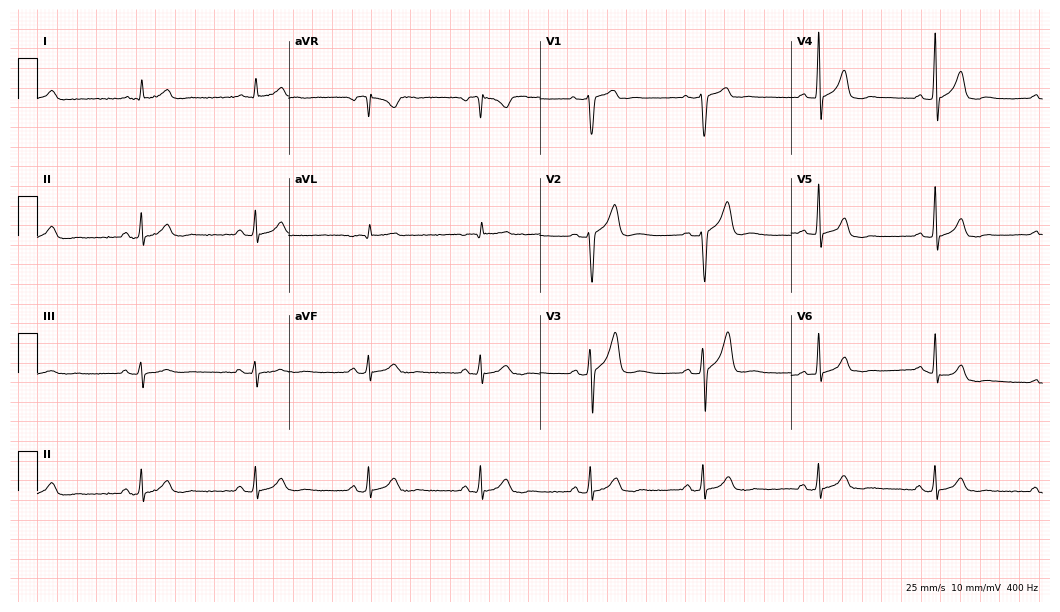
ECG — a man, 53 years old. Labelled as a normal ECG.